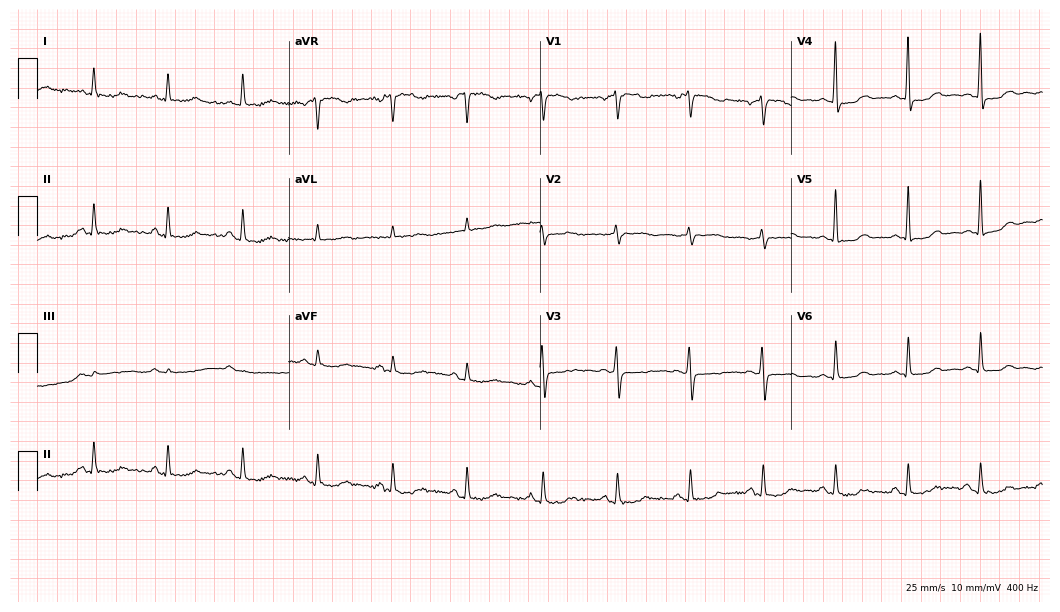
Standard 12-lead ECG recorded from a 55-year-old woman. Read as a normal ECG.